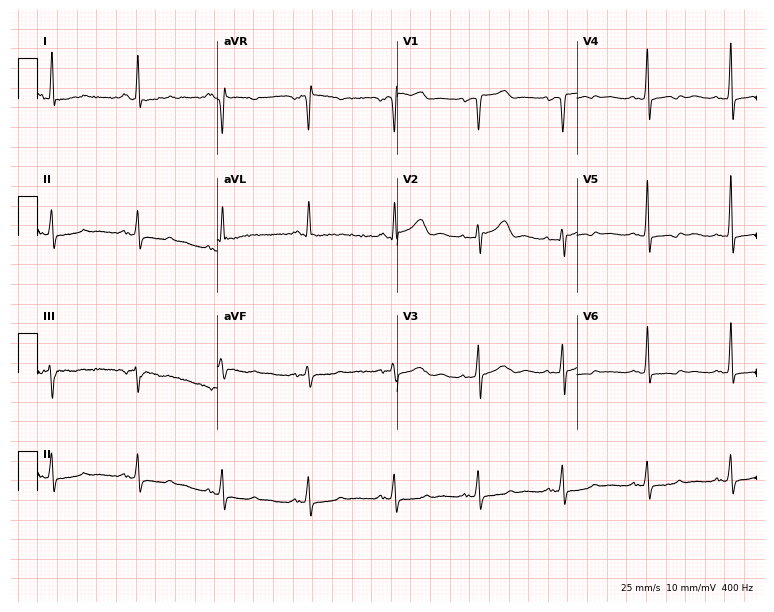
Electrocardiogram, a female, 63 years old. Of the six screened findings (first-degree AV block, right bundle branch block, left bundle branch block, sinus bradycardia, atrial fibrillation, sinus tachycardia), none is recorded. Other findings, if any, are not listed.